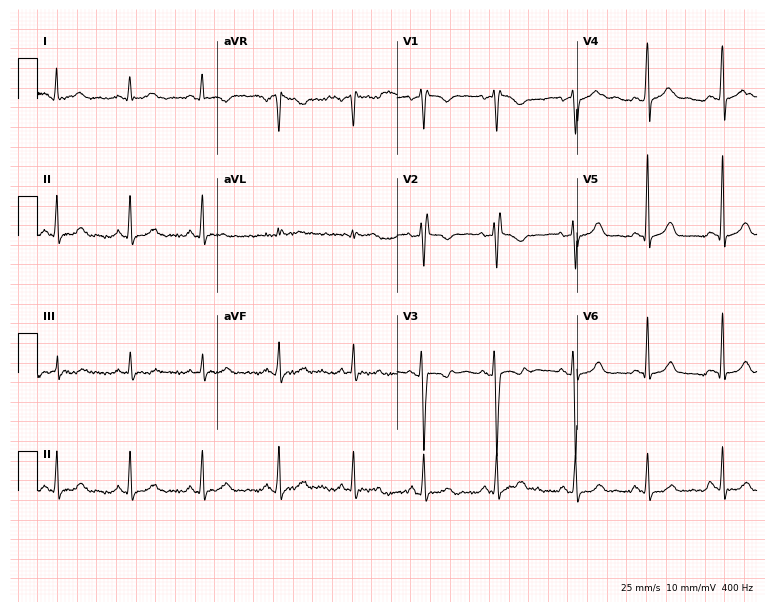
Standard 12-lead ECG recorded from a female patient, 28 years old (7.3-second recording at 400 Hz). None of these six findings is recorded: first-degree AV block, right bundle branch block, left bundle branch block, sinus bradycardia, atrial fibrillation, sinus tachycardia. Findings outside these six are not listed.